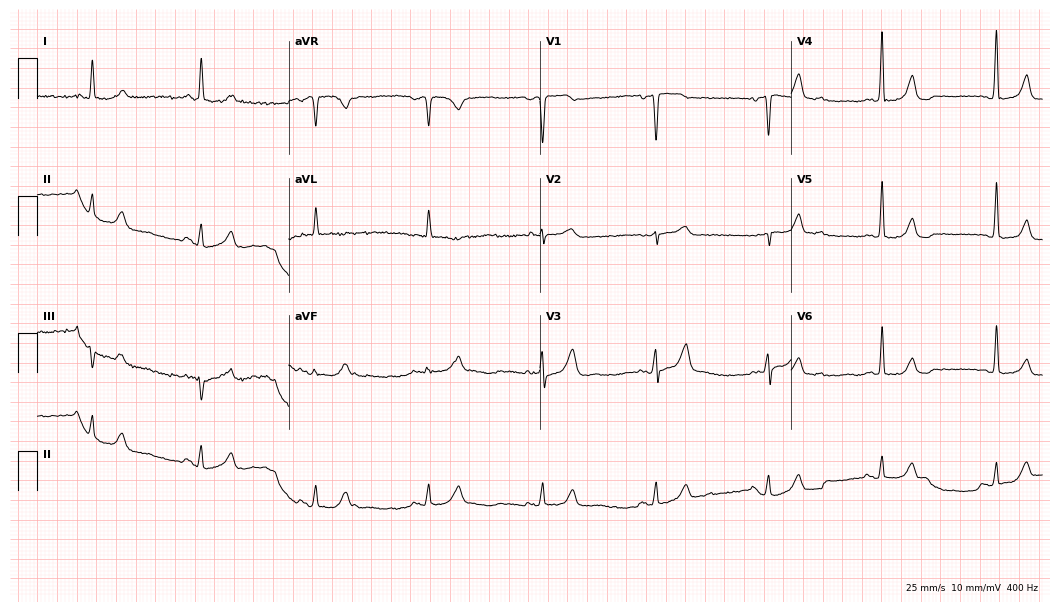
Standard 12-lead ECG recorded from a 73-year-old female. None of these six findings is recorded: first-degree AV block, right bundle branch block, left bundle branch block, sinus bradycardia, atrial fibrillation, sinus tachycardia. Findings outside these six are not listed.